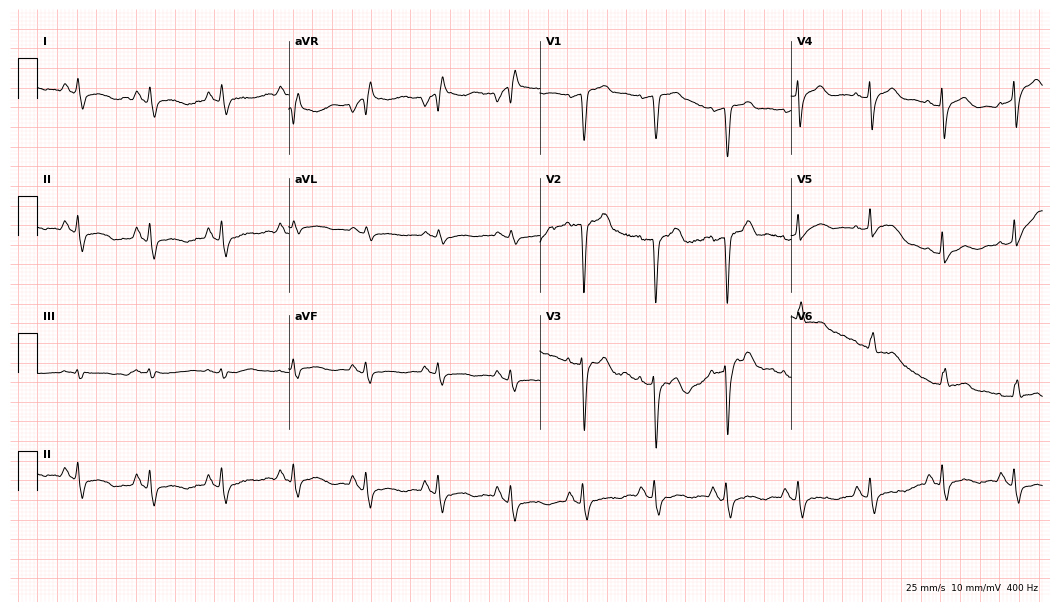
Electrocardiogram (10.2-second recording at 400 Hz), a man, 85 years old. Of the six screened findings (first-degree AV block, right bundle branch block, left bundle branch block, sinus bradycardia, atrial fibrillation, sinus tachycardia), none is recorded. Only these six findings were labelled.